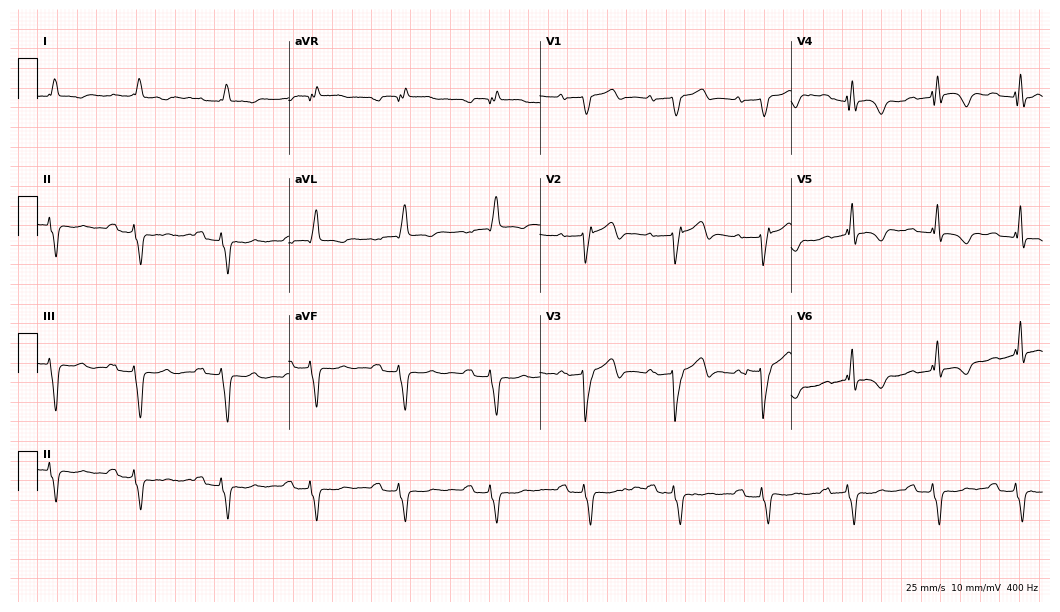
Standard 12-lead ECG recorded from a man, 73 years old (10.2-second recording at 400 Hz). The tracing shows first-degree AV block.